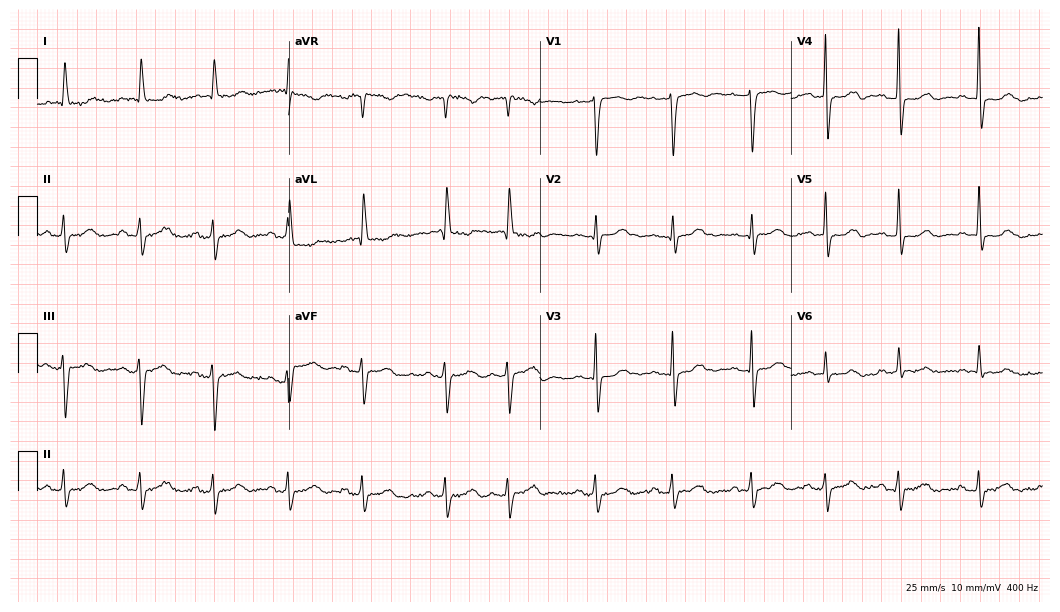
ECG — a 72-year-old woman. Screened for six findings — first-degree AV block, right bundle branch block (RBBB), left bundle branch block (LBBB), sinus bradycardia, atrial fibrillation (AF), sinus tachycardia — none is recorded. Only these six findings were labelled.